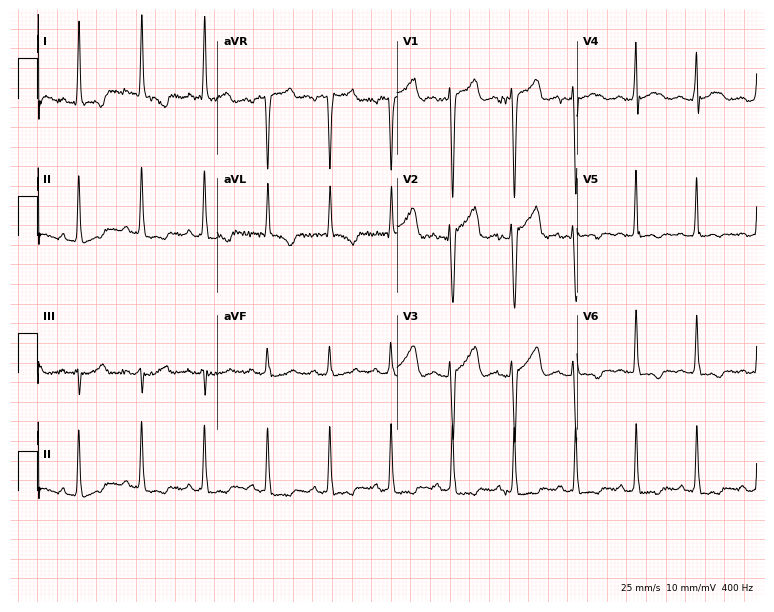
12-lead ECG from a woman, 43 years old. No first-degree AV block, right bundle branch block (RBBB), left bundle branch block (LBBB), sinus bradycardia, atrial fibrillation (AF) or sinus tachycardia recorded for this tracing. Findings outside these six are not listed.